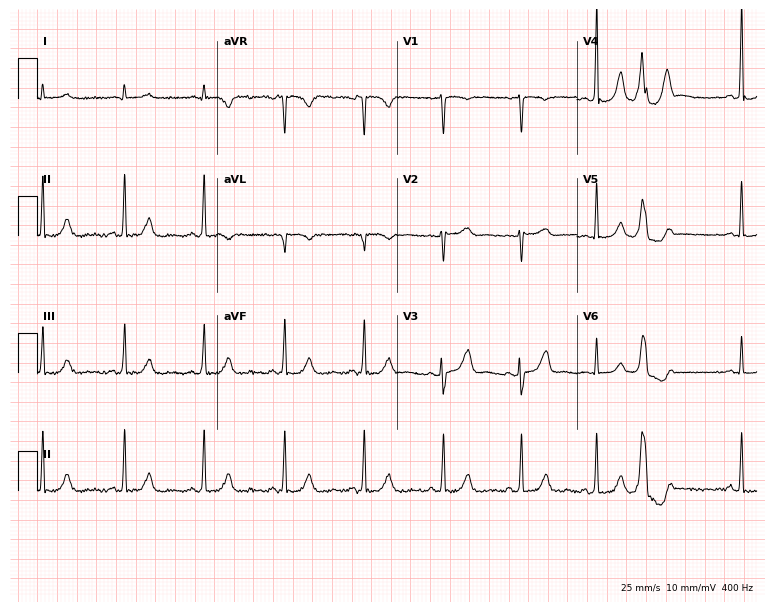
12-lead ECG from a 61-year-old woman. Screened for six findings — first-degree AV block, right bundle branch block, left bundle branch block, sinus bradycardia, atrial fibrillation, sinus tachycardia — none is recorded.